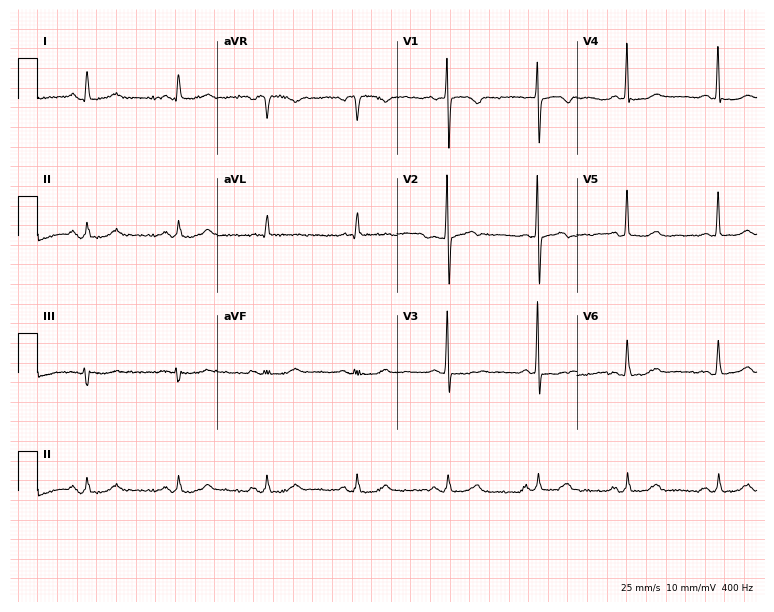
Standard 12-lead ECG recorded from a 57-year-old female patient (7.3-second recording at 400 Hz). Read as a normal ECG.